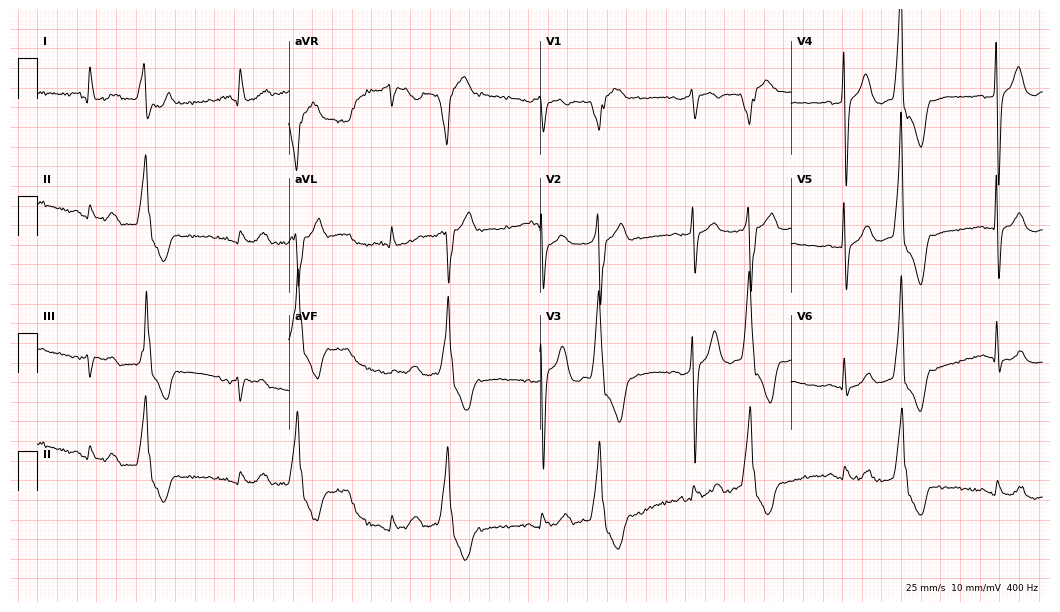
Electrocardiogram (10.2-second recording at 400 Hz), a male, 82 years old. Of the six screened findings (first-degree AV block, right bundle branch block (RBBB), left bundle branch block (LBBB), sinus bradycardia, atrial fibrillation (AF), sinus tachycardia), none is recorded. Findings outside these six are not listed.